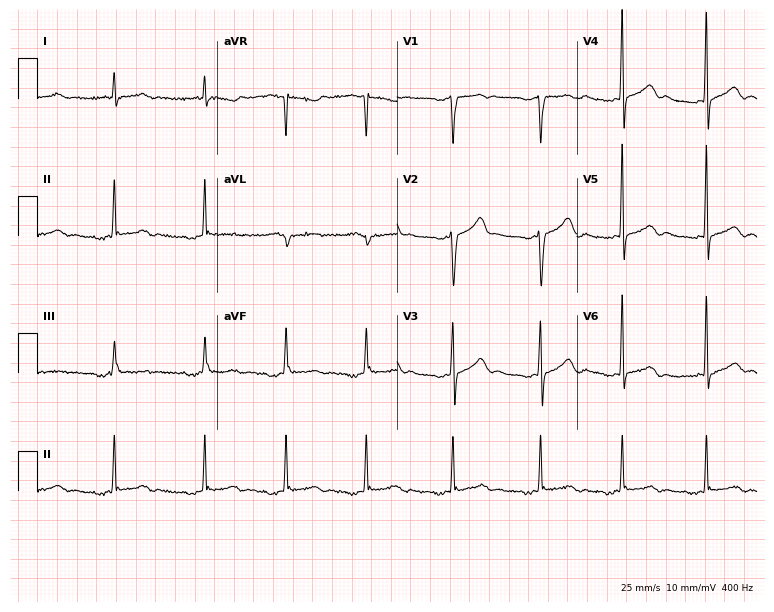
Standard 12-lead ECG recorded from a male patient, 41 years old. None of these six findings is recorded: first-degree AV block, right bundle branch block (RBBB), left bundle branch block (LBBB), sinus bradycardia, atrial fibrillation (AF), sinus tachycardia.